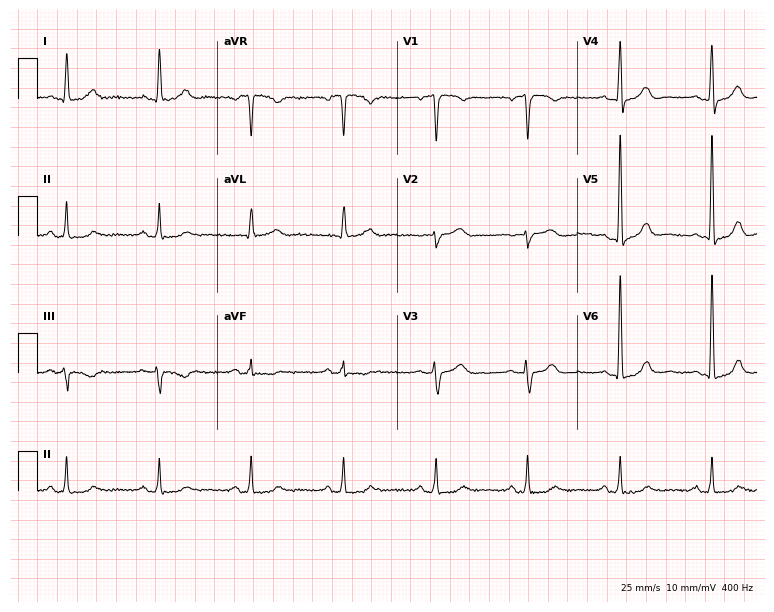
Resting 12-lead electrocardiogram. Patient: a male, 71 years old. Read as a normal ECG.